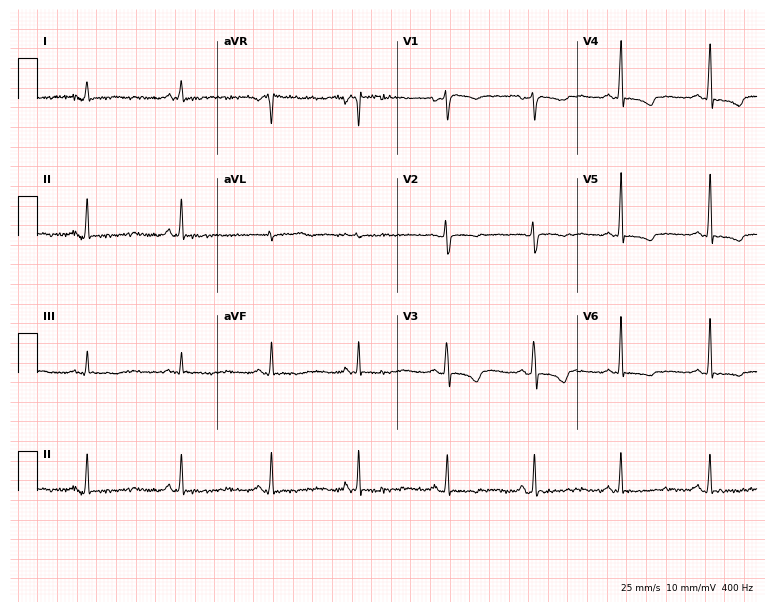
12-lead ECG from a 41-year-old woman. No first-degree AV block, right bundle branch block, left bundle branch block, sinus bradycardia, atrial fibrillation or sinus tachycardia recorded for this tracing.